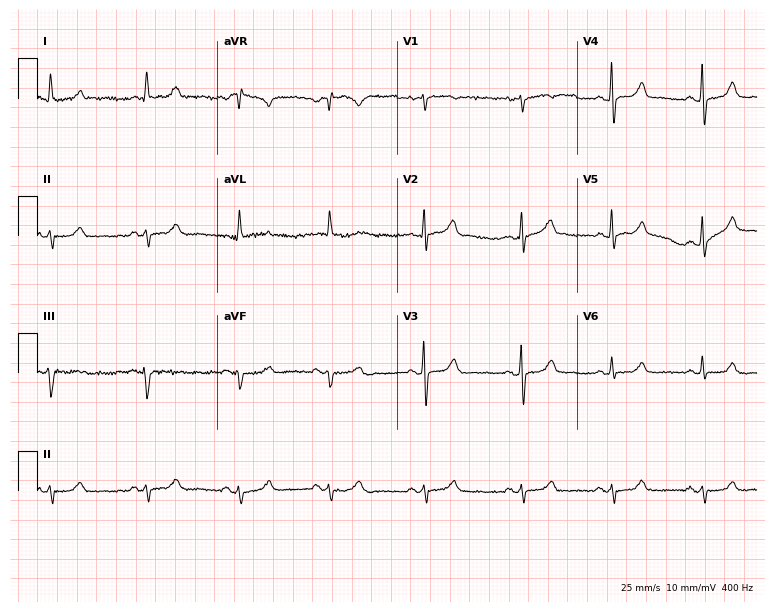
12-lead ECG from a woman, 71 years old (7.3-second recording at 400 Hz). No first-degree AV block, right bundle branch block, left bundle branch block, sinus bradycardia, atrial fibrillation or sinus tachycardia recorded for this tracing. Findings outside these six are not listed.